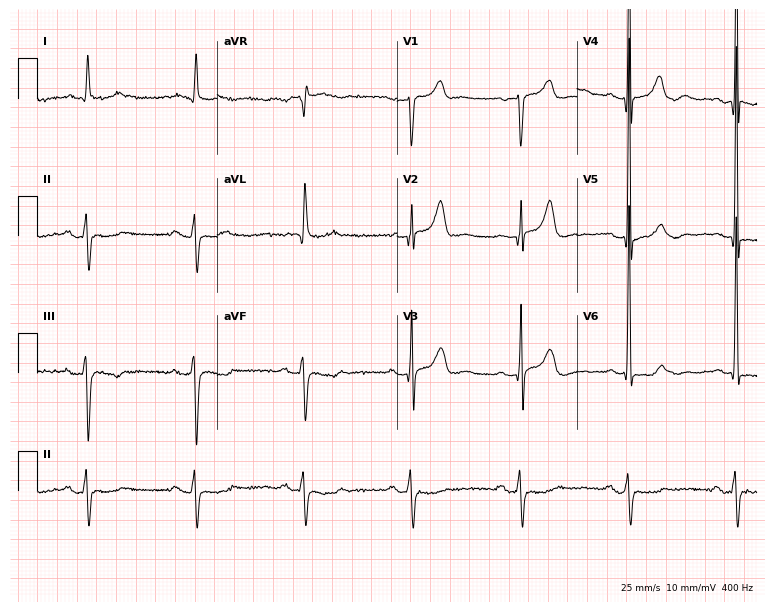
Electrocardiogram (7.3-second recording at 400 Hz), a male, 76 years old. Of the six screened findings (first-degree AV block, right bundle branch block, left bundle branch block, sinus bradycardia, atrial fibrillation, sinus tachycardia), none is recorded.